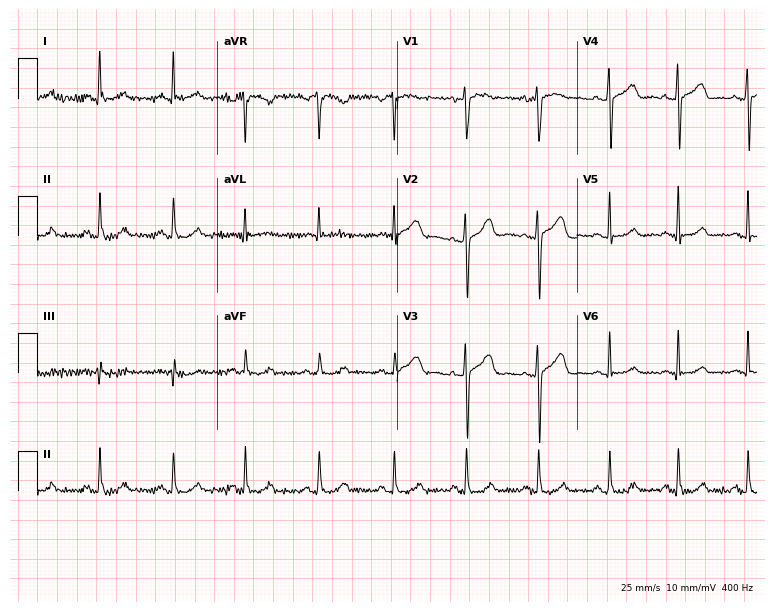
Electrocardiogram, a 35-year-old female patient. Of the six screened findings (first-degree AV block, right bundle branch block (RBBB), left bundle branch block (LBBB), sinus bradycardia, atrial fibrillation (AF), sinus tachycardia), none is recorded.